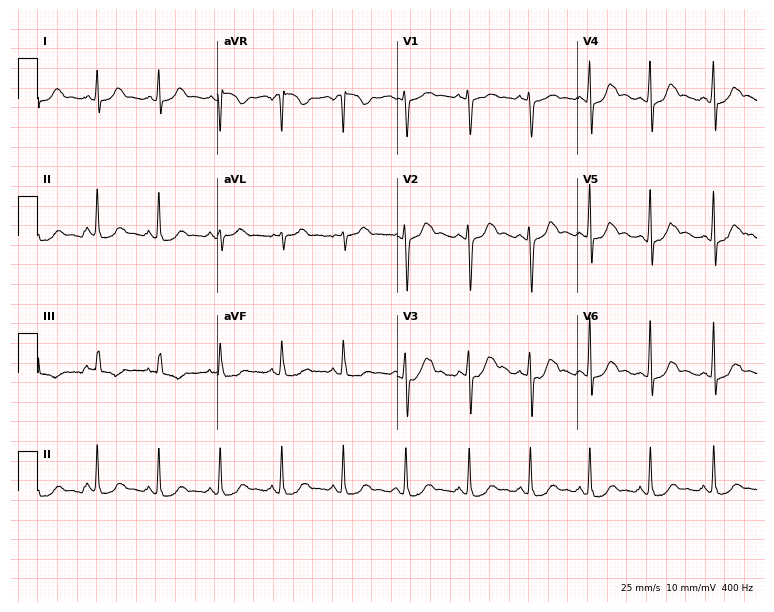
Electrocardiogram, a 36-year-old female patient. Of the six screened findings (first-degree AV block, right bundle branch block, left bundle branch block, sinus bradycardia, atrial fibrillation, sinus tachycardia), none is recorded. Findings outside these six are not listed.